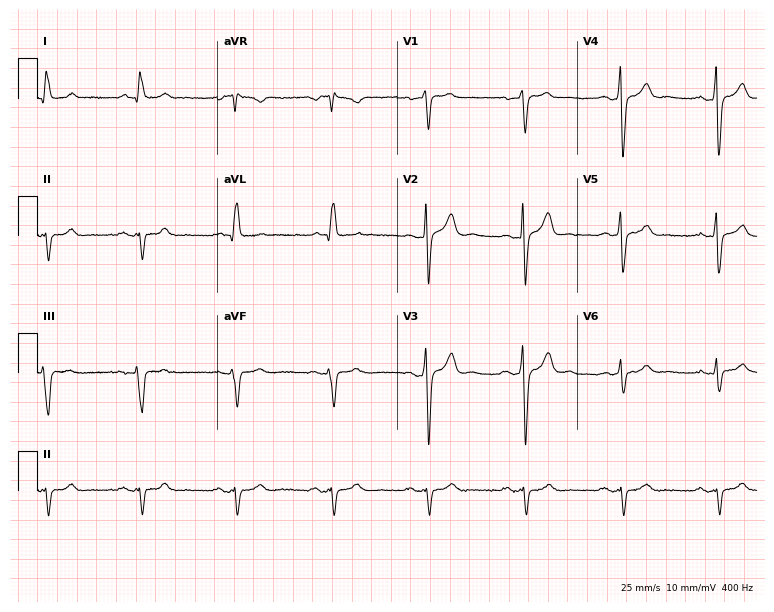
12-lead ECG from a 79-year-old male (7.3-second recording at 400 Hz). No first-degree AV block, right bundle branch block (RBBB), left bundle branch block (LBBB), sinus bradycardia, atrial fibrillation (AF) or sinus tachycardia recorded for this tracing.